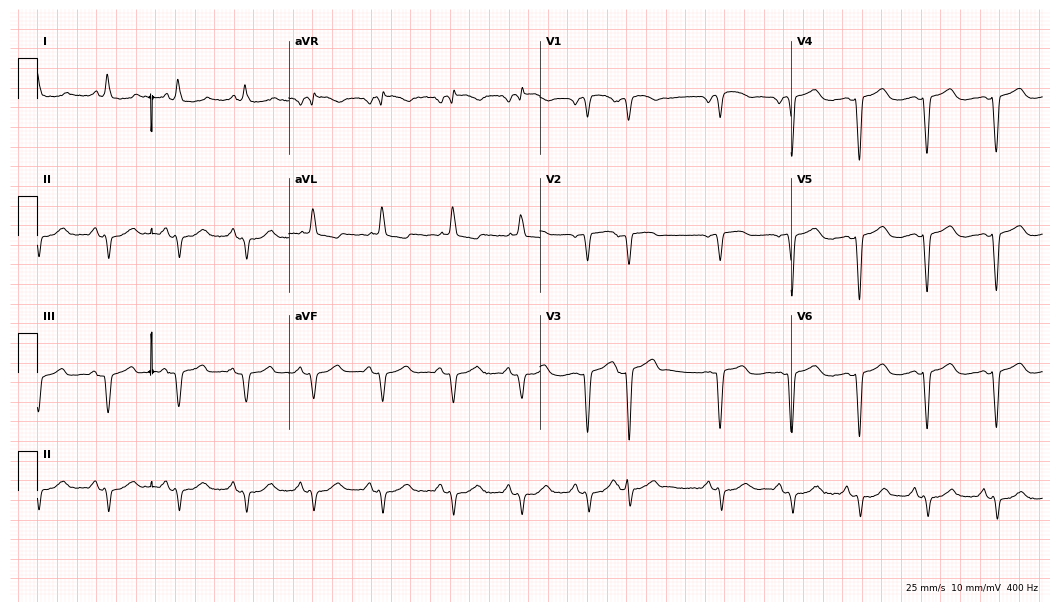
12-lead ECG from an 82-year-old female (10.2-second recording at 400 Hz). No first-degree AV block, right bundle branch block (RBBB), left bundle branch block (LBBB), sinus bradycardia, atrial fibrillation (AF) or sinus tachycardia recorded for this tracing.